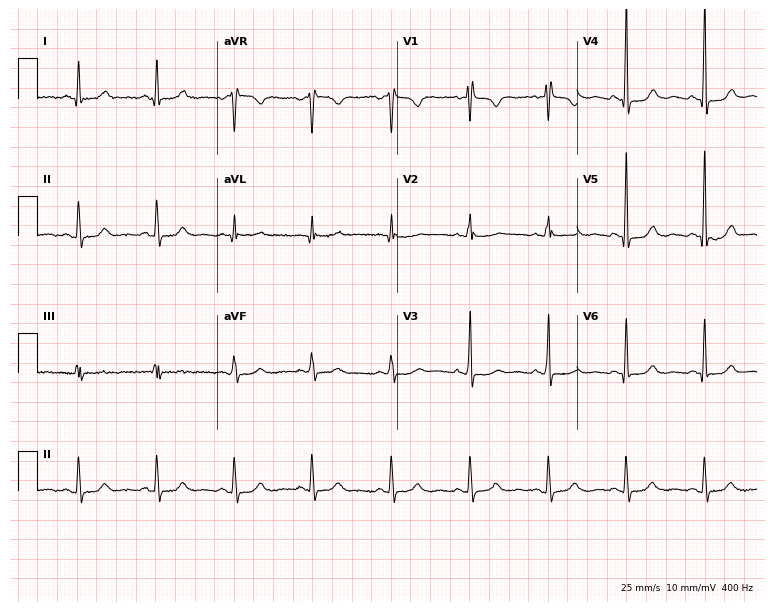
Resting 12-lead electrocardiogram. Patient: a female, 55 years old. None of these six findings is recorded: first-degree AV block, right bundle branch block, left bundle branch block, sinus bradycardia, atrial fibrillation, sinus tachycardia. Only these six findings were labelled.